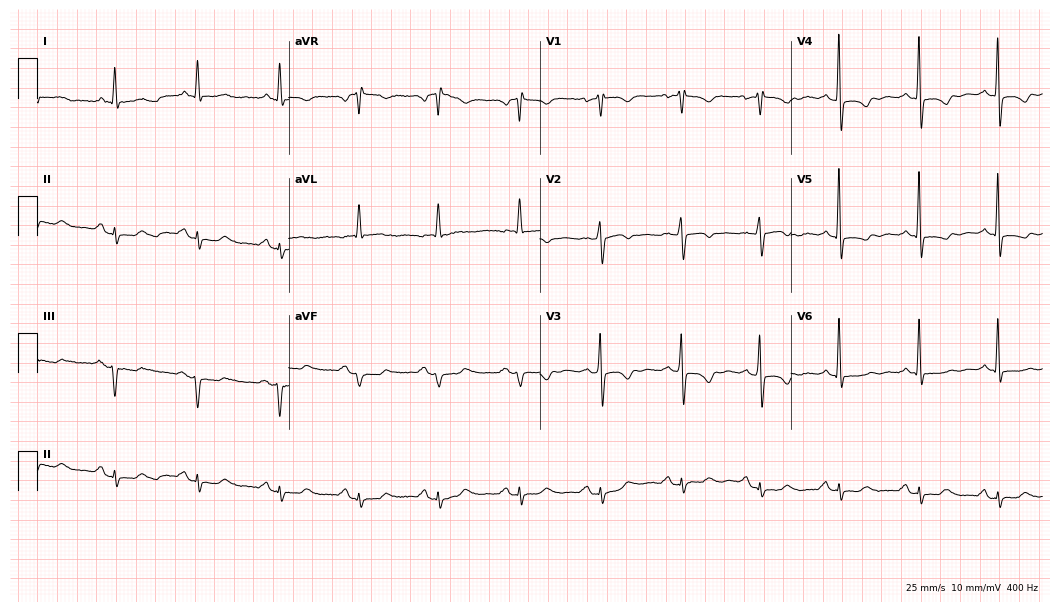
Electrocardiogram, a female, 66 years old. Of the six screened findings (first-degree AV block, right bundle branch block, left bundle branch block, sinus bradycardia, atrial fibrillation, sinus tachycardia), none is recorded.